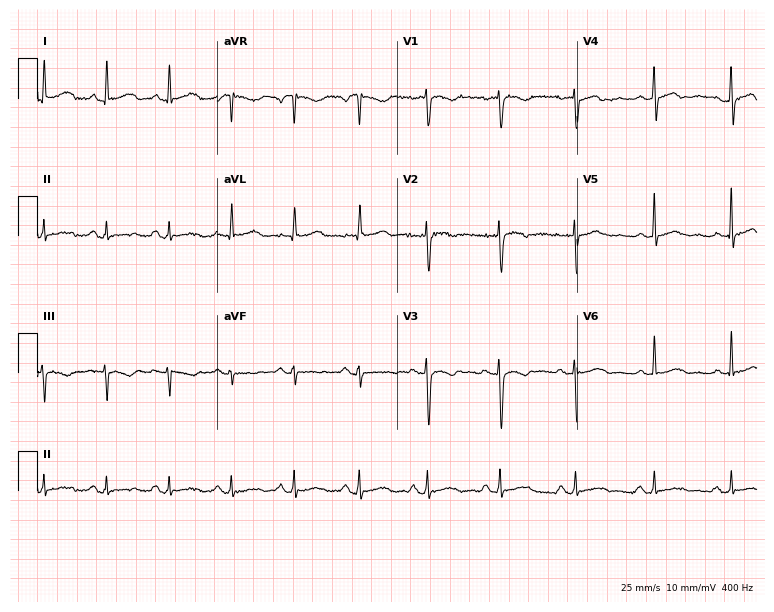
12-lead ECG (7.3-second recording at 400 Hz) from a 52-year-old female patient. Screened for six findings — first-degree AV block, right bundle branch block, left bundle branch block, sinus bradycardia, atrial fibrillation, sinus tachycardia — none is recorded.